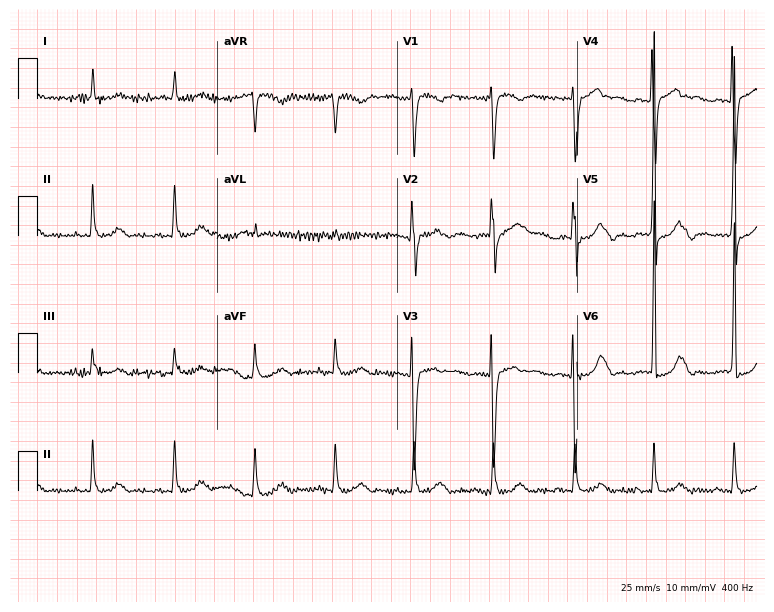
12-lead ECG from an 81-year-old woman. Screened for six findings — first-degree AV block, right bundle branch block, left bundle branch block, sinus bradycardia, atrial fibrillation, sinus tachycardia — none is recorded.